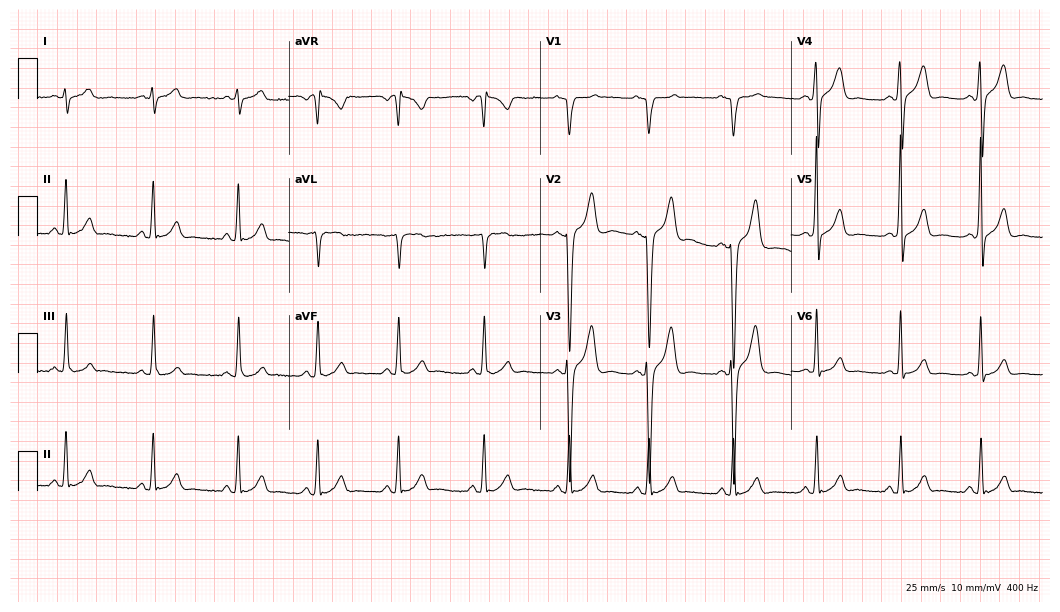
Resting 12-lead electrocardiogram. Patient: a male, 21 years old. None of these six findings is recorded: first-degree AV block, right bundle branch block, left bundle branch block, sinus bradycardia, atrial fibrillation, sinus tachycardia. Only these six findings were labelled.